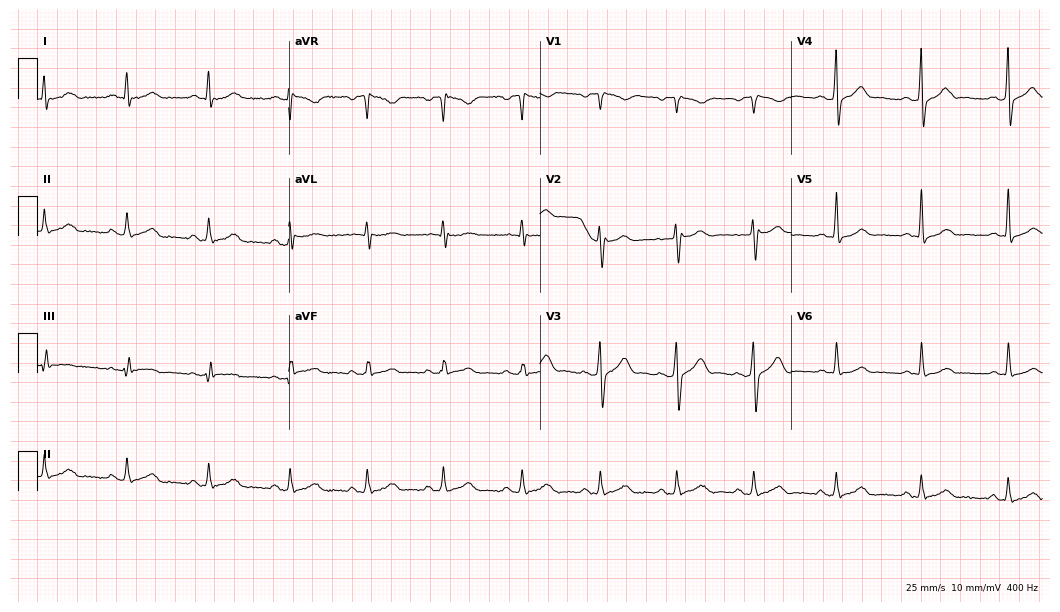
Electrocardiogram (10.2-second recording at 400 Hz), a male patient, 45 years old. Of the six screened findings (first-degree AV block, right bundle branch block, left bundle branch block, sinus bradycardia, atrial fibrillation, sinus tachycardia), none is recorded. Only these six findings were labelled.